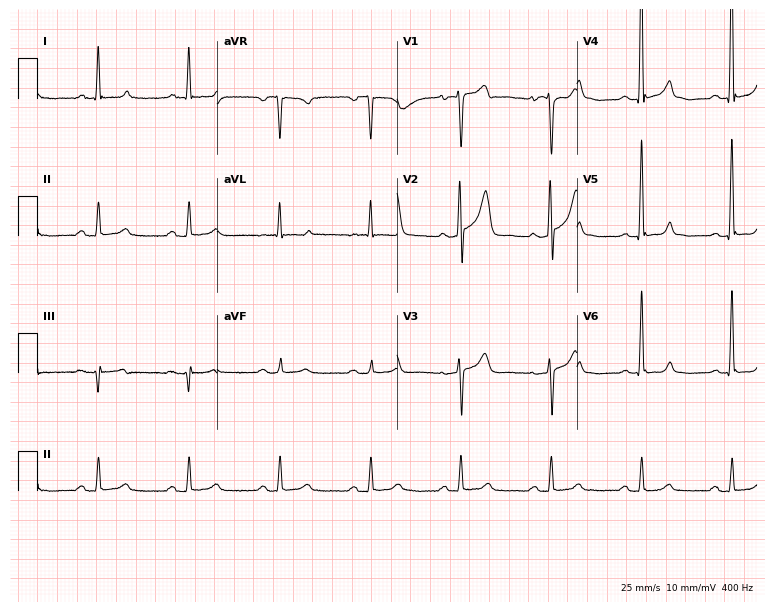
Standard 12-lead ECG recorded from a male, 80 years old. Read as a normal ECG.